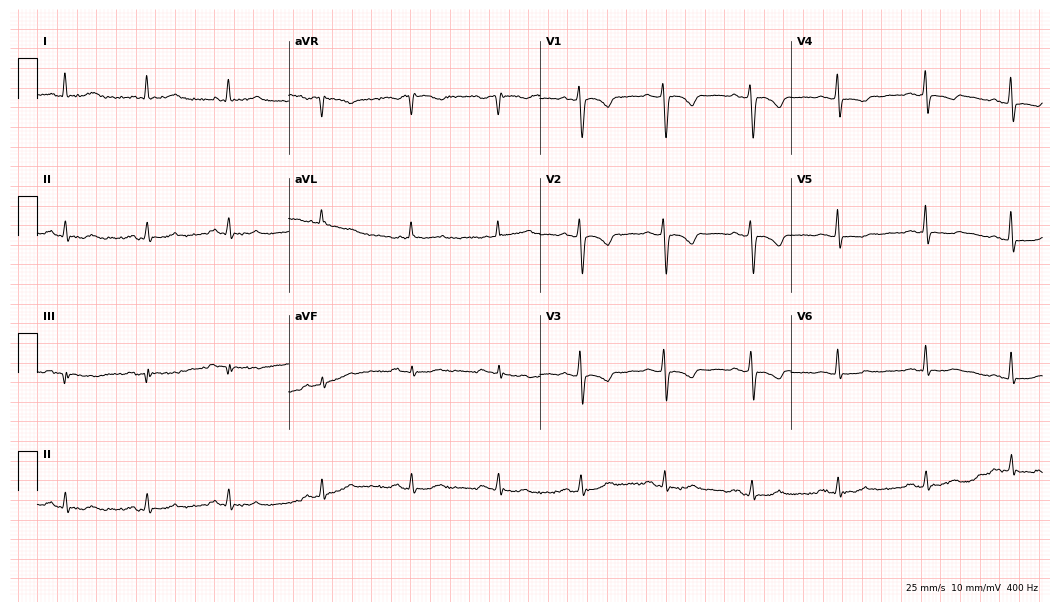
Electrocardiogram, a female patient, 58 years old. Of the six screened findings (first-degree AV block, right bundle branch block, left bundle branch block, sinus bradycardia, atrial fibrillation, sinus tachycardia), none is recorded. Only these six findings were labelled.